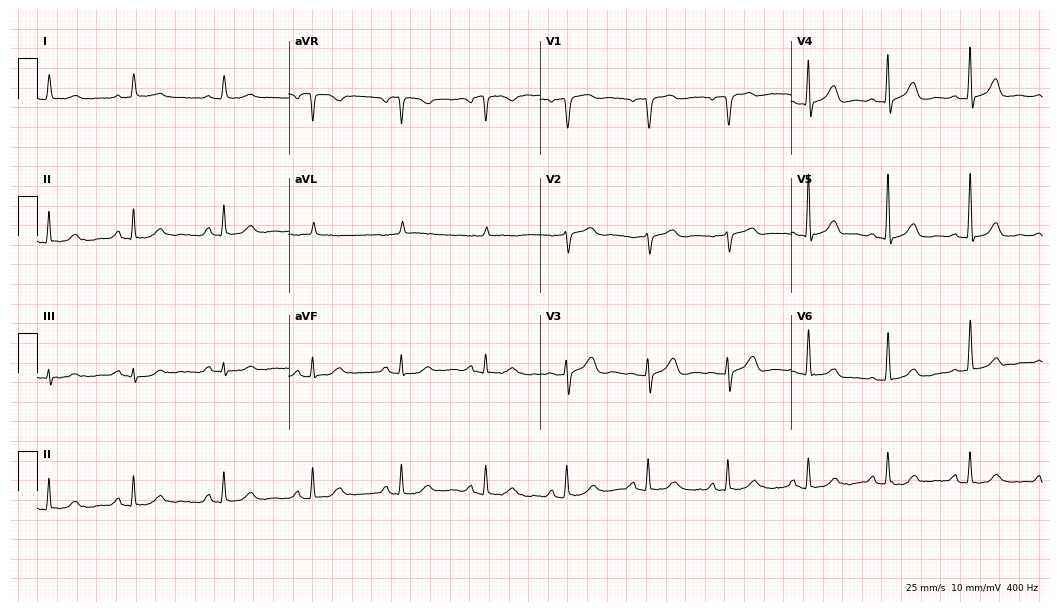
12-lead ECG (10.2-second recording at 400 Hz) from a man, 82 years old. Labelled as a normal ECG.